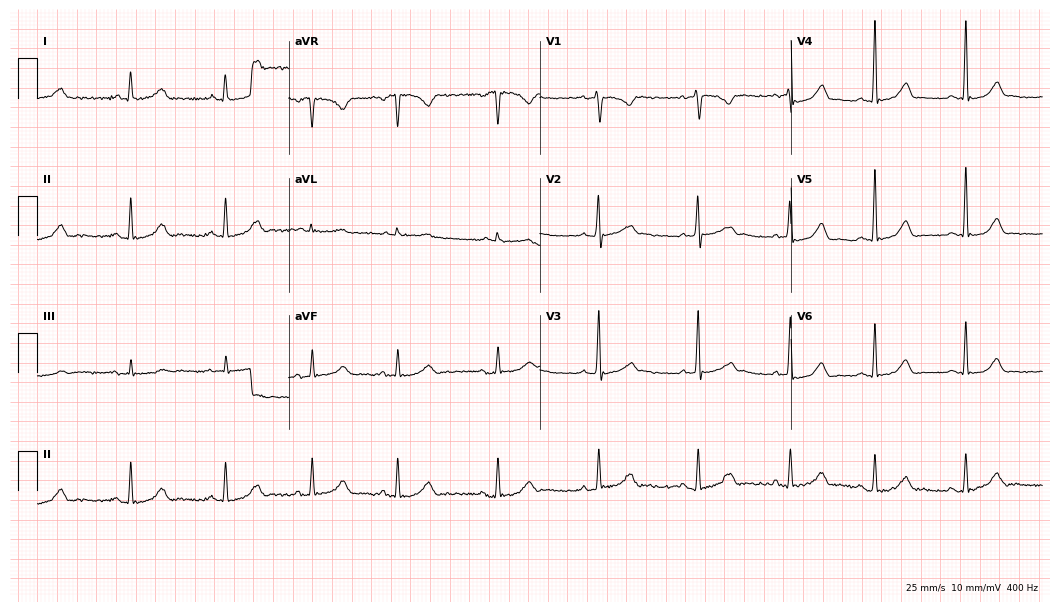
Standard 12-lead ECG recorded from a 30-year-old woman. Read as a normal ECG.